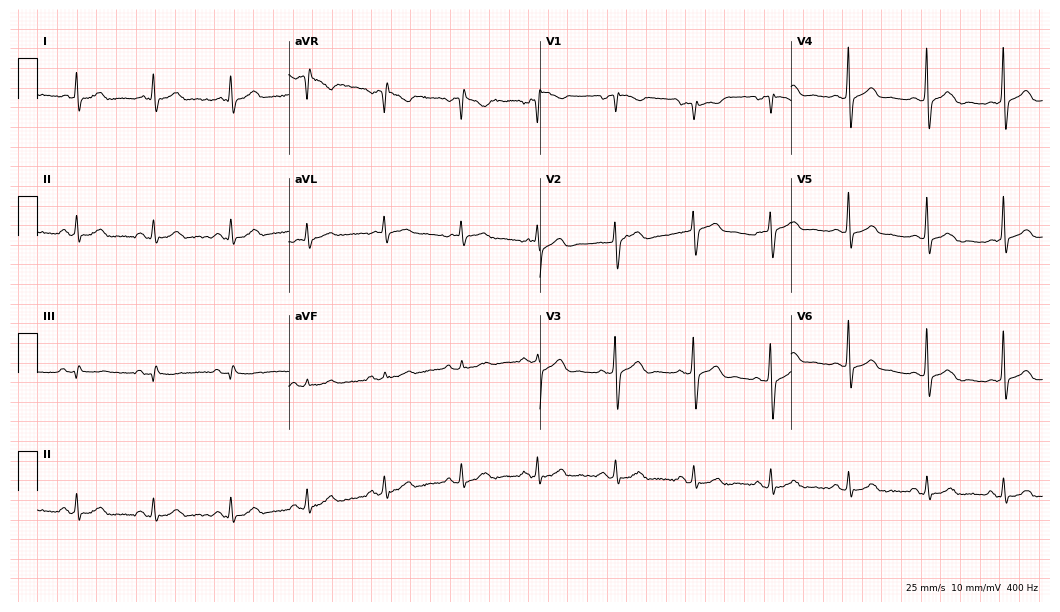
Resting 12-lead electrocardiogram (10.2-second recording at 400 Hz). Patient: a female, 66 years old. Read as a normal ECG.